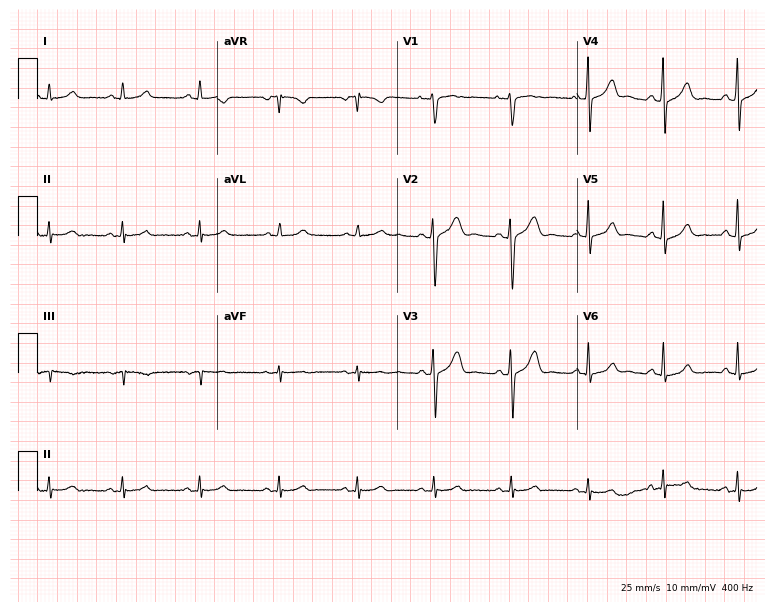
12-lead ECG from a 39-year-old woman (7.3-second recording at 400 Hz). Recorded interpretation: within normal limits.